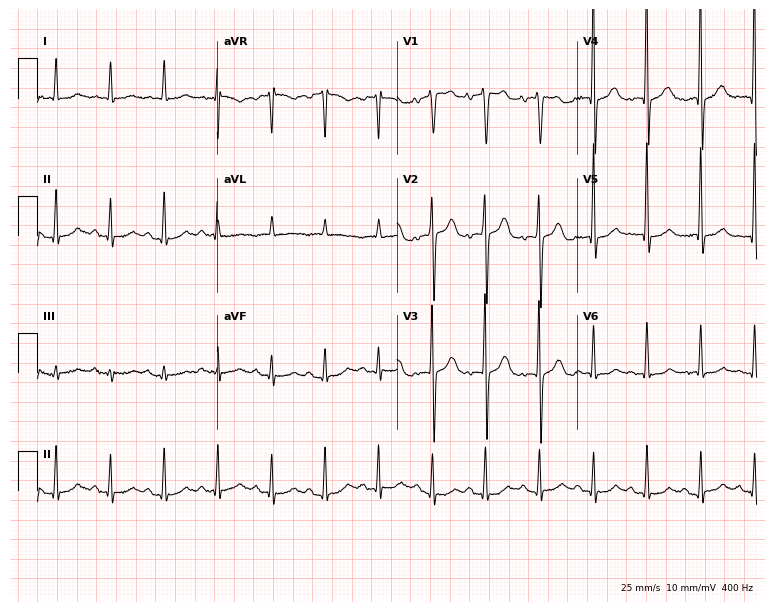
Resting 12-lead electrocardiogram. Patient: a 77-year-old female. The tracing shows sinus tachycardia (a sinus rate of 100 beats per minute or more).